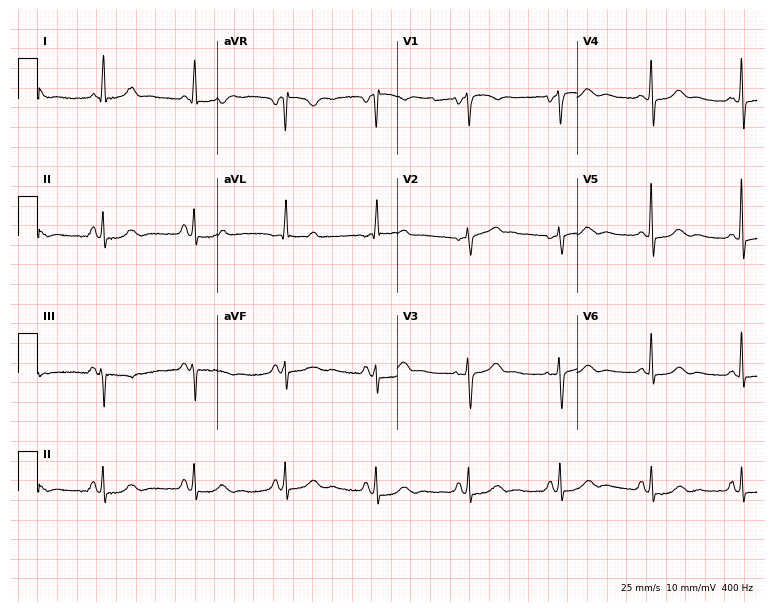
12-lead ECG from a 61-year-old woman. Labelled as a normal ECG.